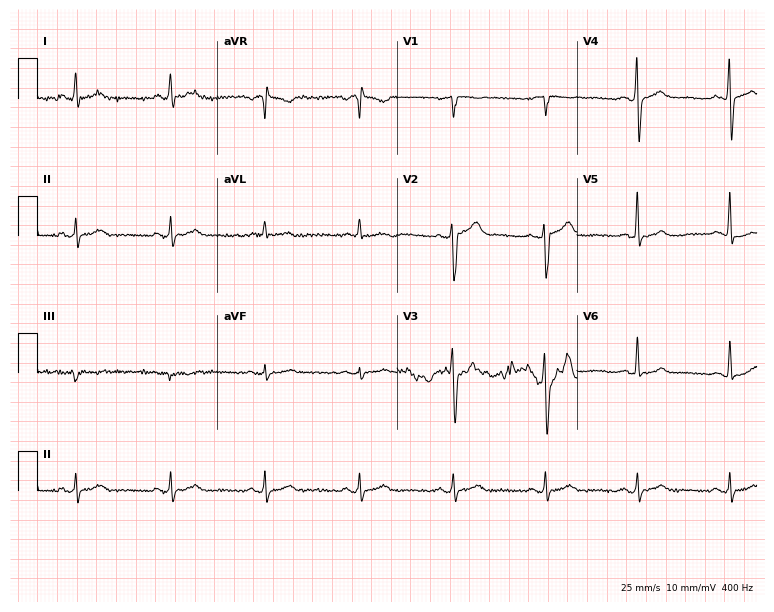
Resting 12-lead electrocardiogram. Patient: a man, 51 years old. Read as a normal ECG.